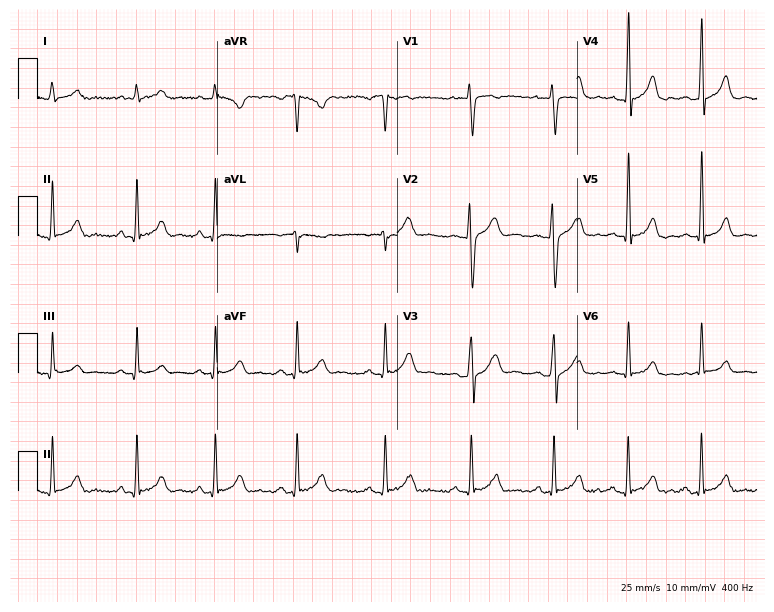
12-lead ECG from a 28-year-old male patient. Recorded interpretation: within normal limits.